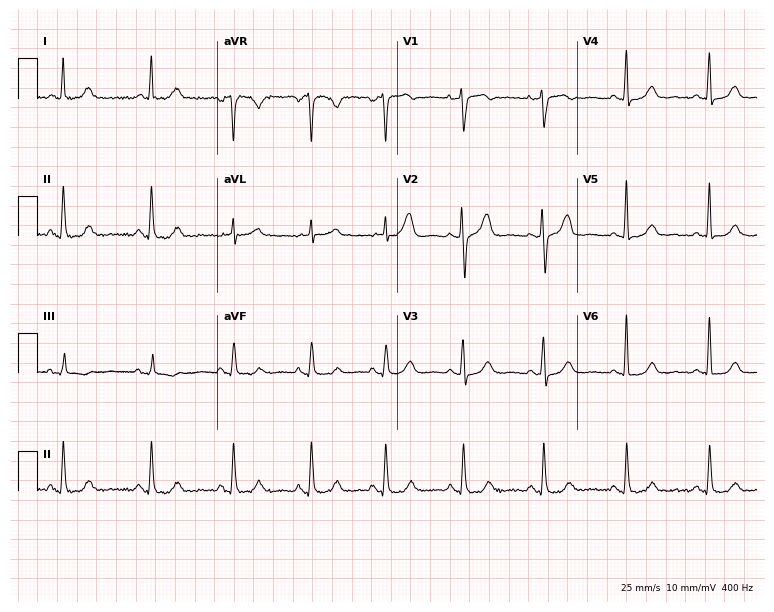
Electrocardiogram, a 50-year-old female patient. Of the six screened findings (first-degree AV block, right bundle branch block (RBBB), left bundle branch block (LBBB), sinus bradycardia, atrial fibrillation (AF), sinus tachycardia), none is recorded.